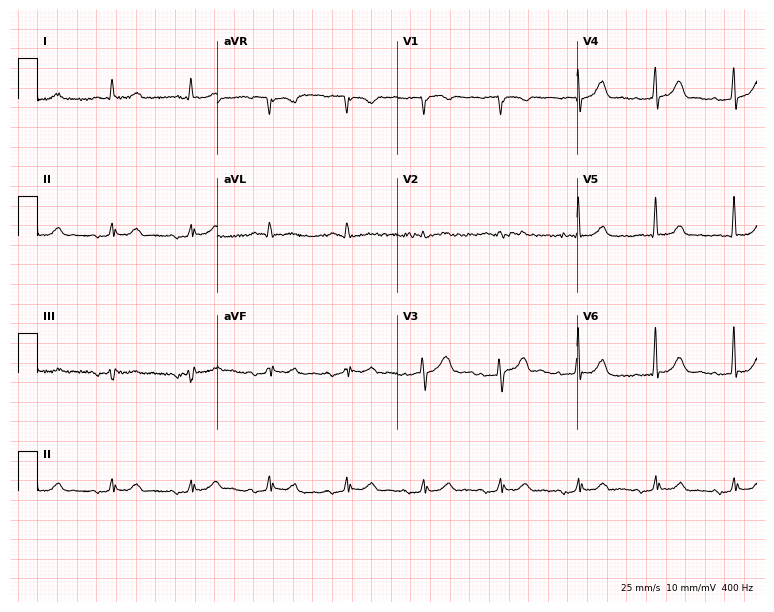
12-lead ECG from an 81-year-old male patient. Screened for six findings — first-degree AV block, right bundle branch block, left bundle branch block, sinus bradycardia, atrial fibrillation, sinus tachycardia — none is recorded.